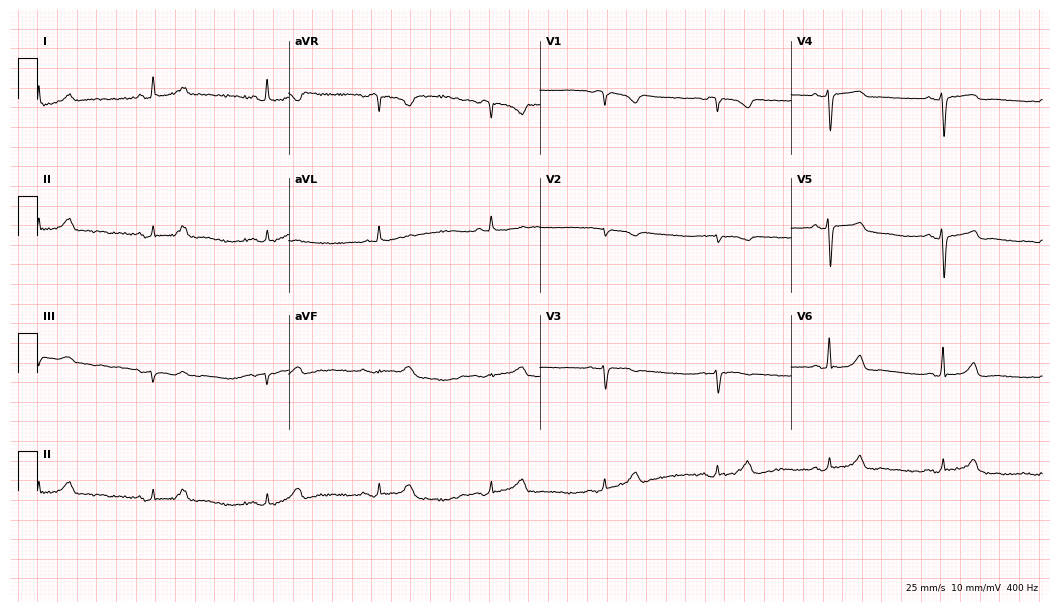
Standard 12-lead ECG recorded from a 76-year-old female. None of these six findings is recorded: first-degree AV block, right bundle branch block, left bundle branch block, sinus bradycardia, atrial fibrillation, sinus tachycardia.